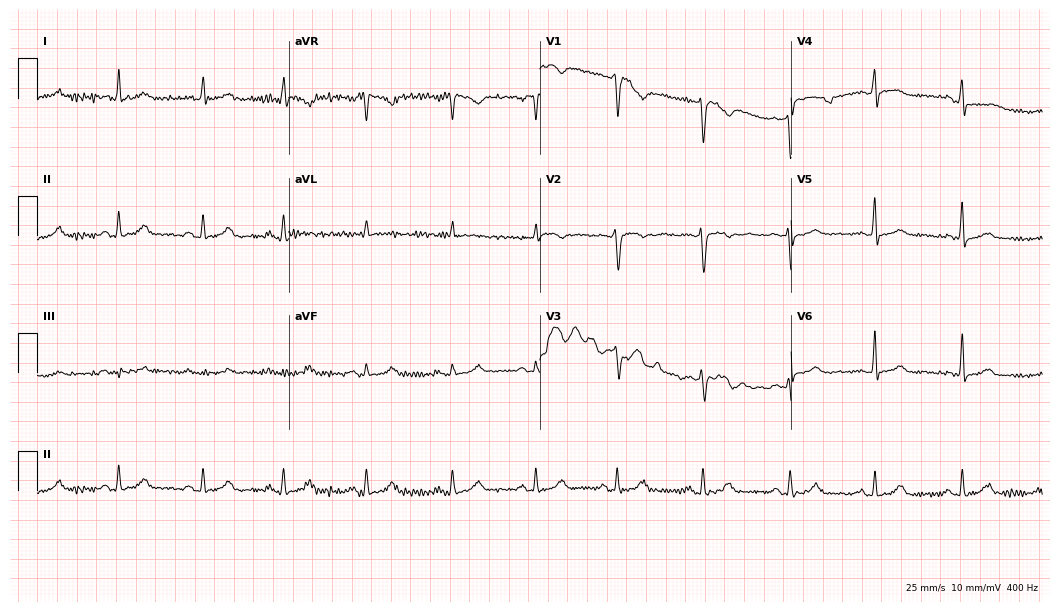
Resting 12-lead electrocardiogram. Patient: a female, 32 years old. Read as a normal ECG.